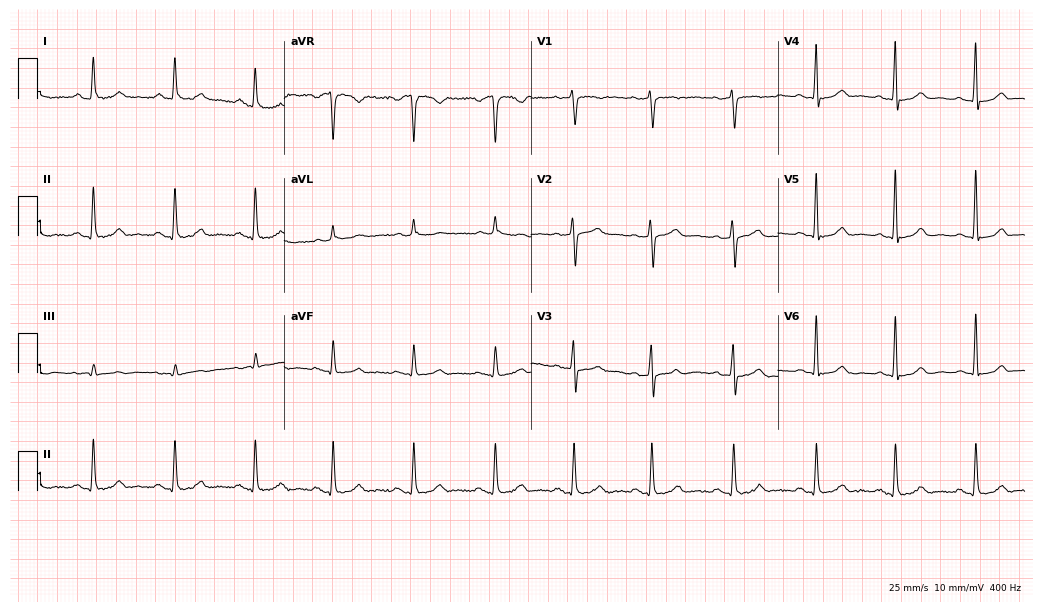
Standard 12-lead ECG recorded from a 48-year-old female patient. None of these six findings is recorded: first-degree AV block, right bundle branch block, left bundle branch block, sinus bradycardia, atrial fibrillation, sinus tachycardia.